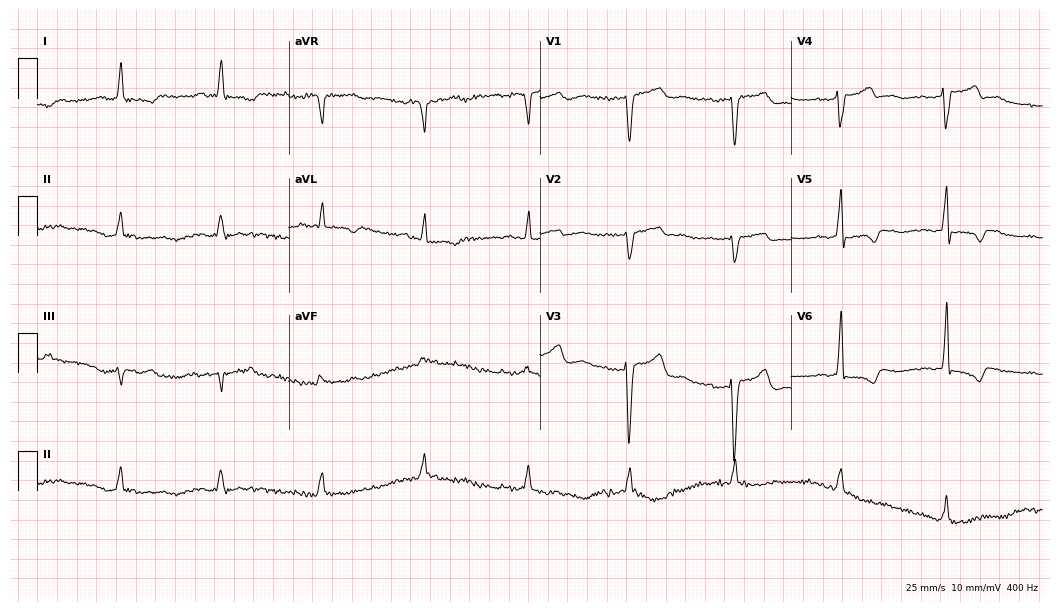
ECG (10.2-second recording at 400 Hz) — a female patient, 85 years old. Screened for six findings — first-degree AV block, right bundle branch block (RBBB), left bundle branch block (LBBB), sinus bradycardia, atrial fibrillation (AF), sinus tachycardia — none is recorded. Findings outside these six are not listed.